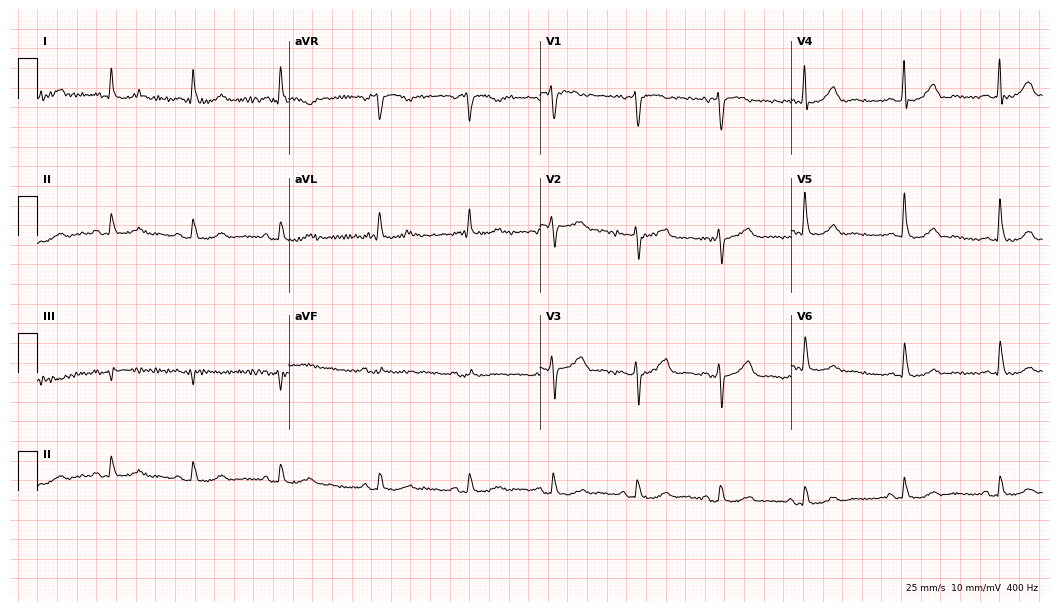
Electrocardiogram, a 73-year-old woman. Of the six screened findings (first-degree AV block, right bundle branch block, left bundle branch block, sinus bradycardia, atrial fibrillation, sinus tachycardia), none is recorded.